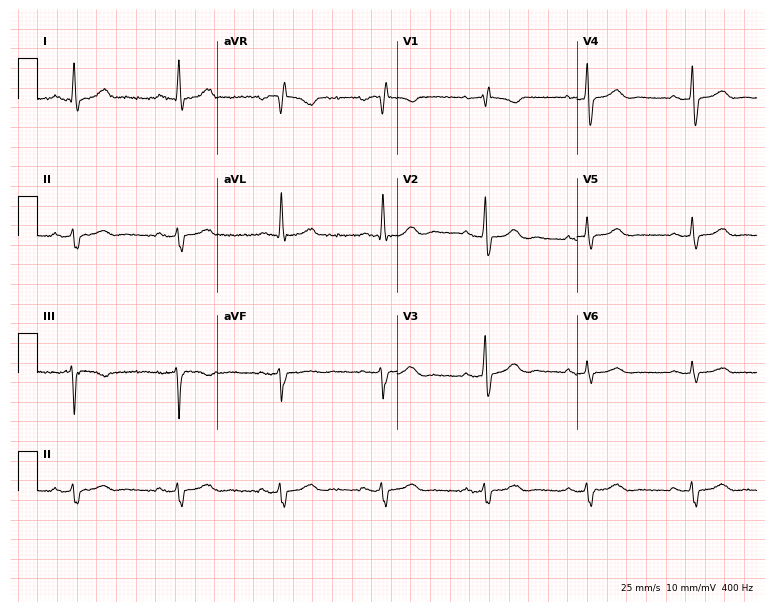
Standard 12-lead ECG recorded from an 81-year-old female patient (7.3-second recording at 400 Hz). Read as a normal ECG.